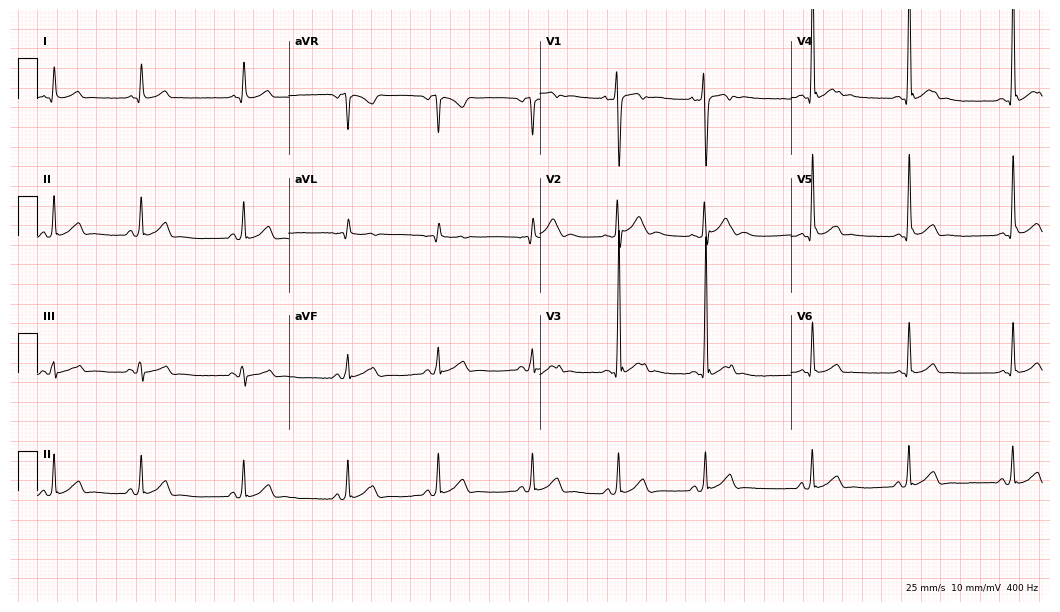
12-lead ECG from a man, 20 years old (10.2-second recording at 400 Hz). No first-degree AV block, right bundle branch block, left bundle branch block, sinus bradycardia, atrial fibrillation or sinus tachycardia recorded for this tracing.